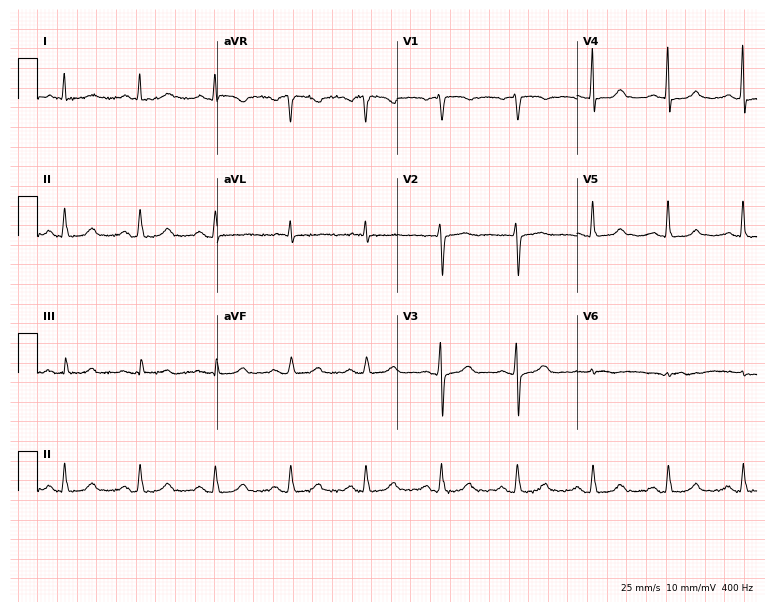
12-lead ECG from an 82-year-old woman. No first-degree AV block, right bundle branch block (RBBB), left bundle branch block (LBBB), sinus bradycardia, atrial fibrillation (AF) or sinus tachycardia recorded for this tracing.